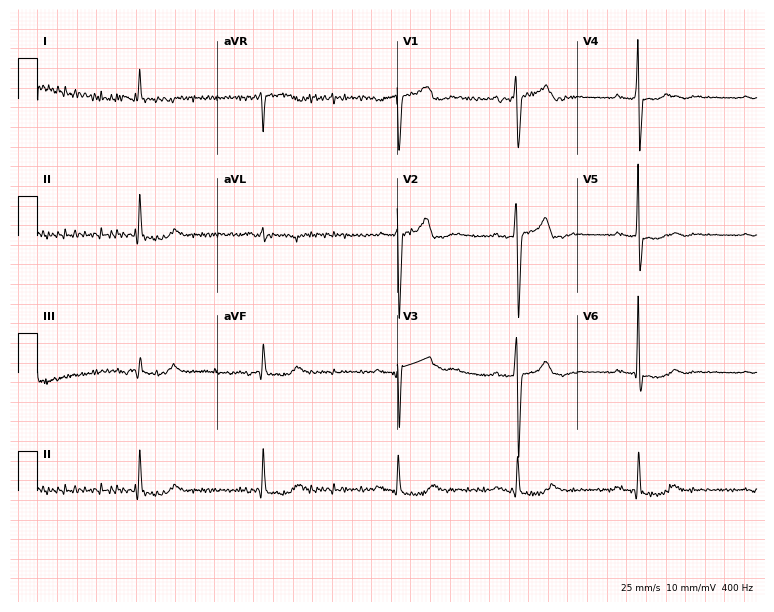
ECG (7.3-second recording at 400 Hz) — a 75-year-old male patient. Screened for six findings — first-degree AV block, right bundle branch block, left bundle branch block, sinus bradycardia, atrial fibrillation, sinus tachycardia — none is recorded.